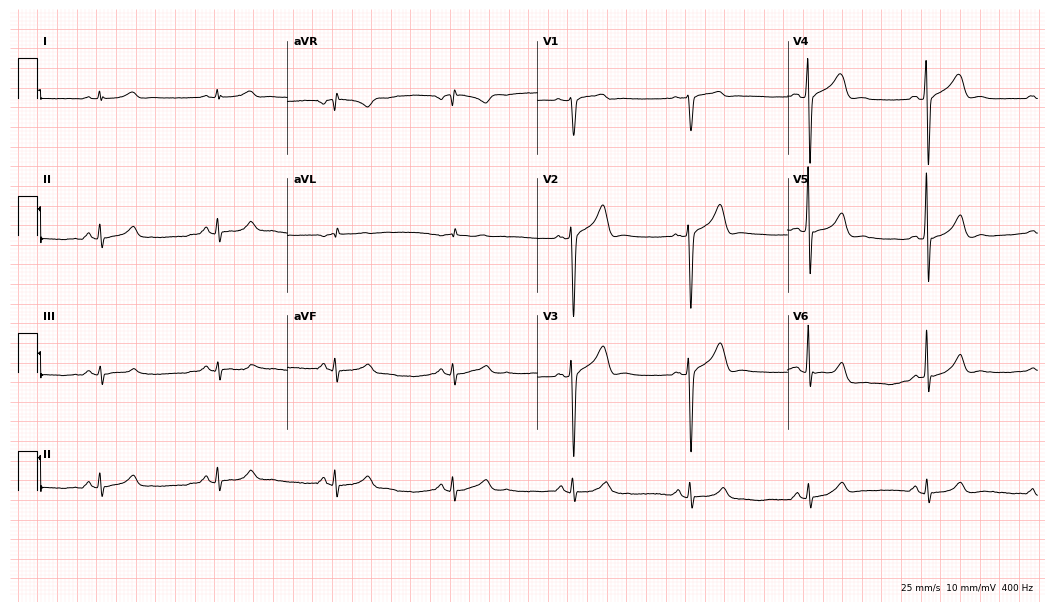
12-lead ECG from a 65-year-old male. Screened for six findings — first-degree AV block, right bundle branch block (RBBB), left bundle branch block (LBBB), sinus bradycardia, atrial fibrillation (AF), sinus tachycardia — none is recorded. Findings outside these six are not listed.